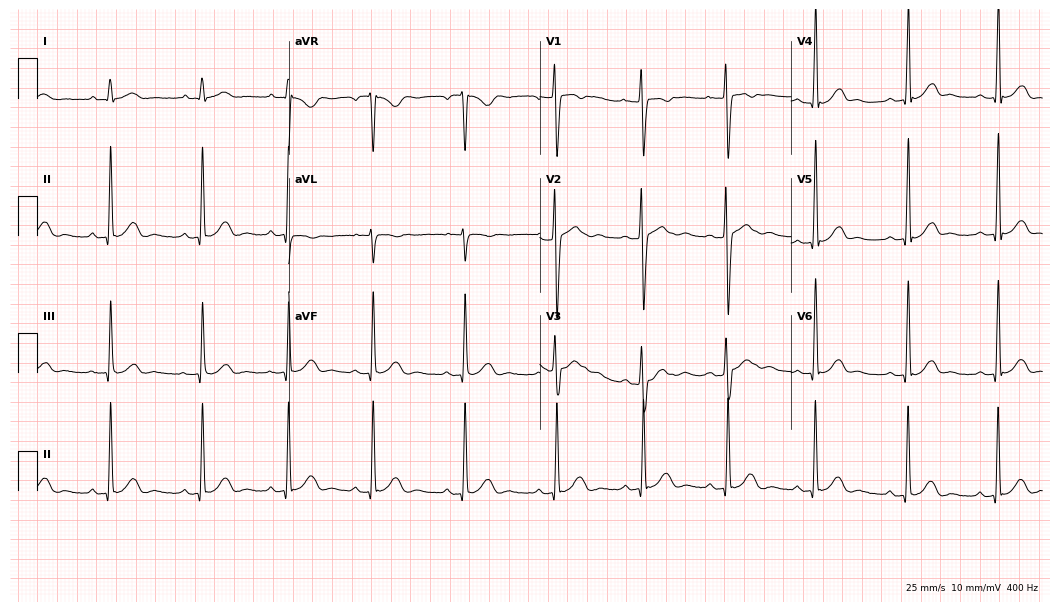
Electrocardiogram (10.2-second recording at 400 Hz), a 24-year-old female. Overall reading on record: normal ECG.